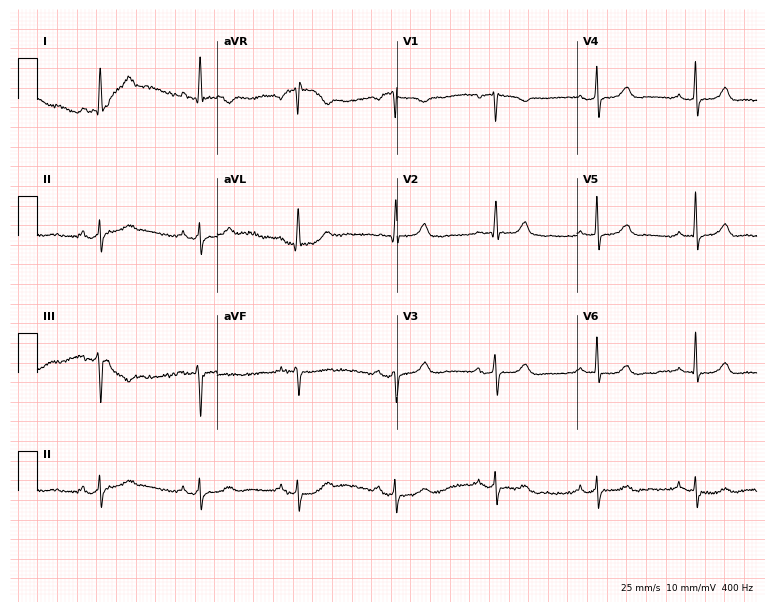
12-lead ECG from an 80-year-old female patient. No first-degree AV block, right bundle branch block, left bundle branch block, sinus bradycardia, atrial fibrillation or sinus tachycardia recorded for this tracing. Only these six findings were labelled.